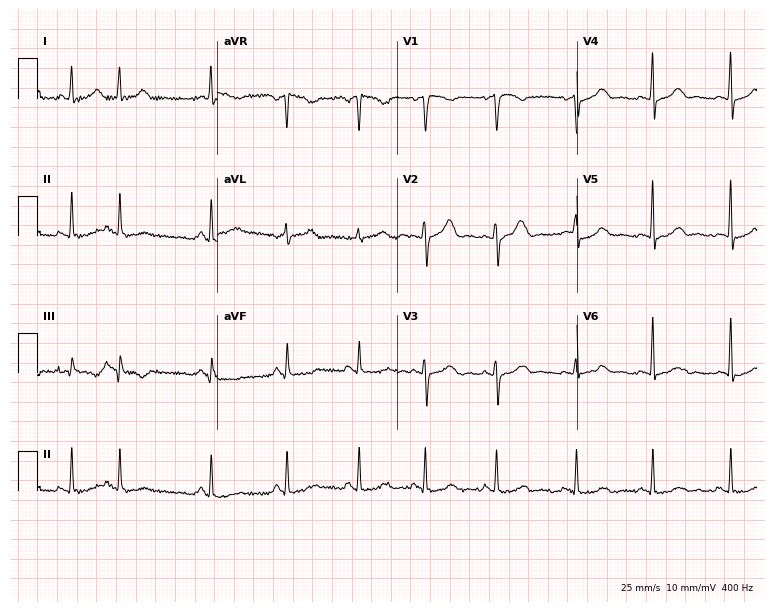
Standard 12-lead ECG recorded from a female patient, 38 years old (7.3-second recording at 400 Hz). Read as a normal ECG.